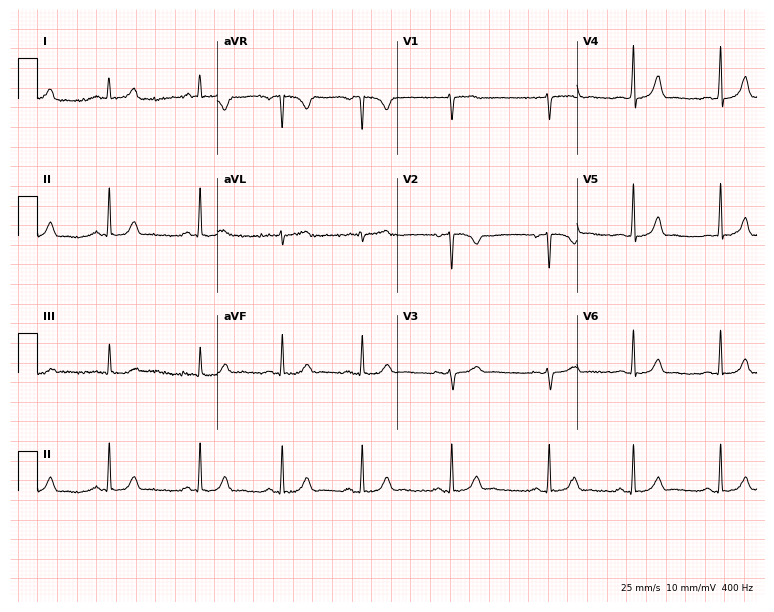
Resting 12-lead electrocardiogram. Patient: a woman, 23 years old. Read as a normal ECG.